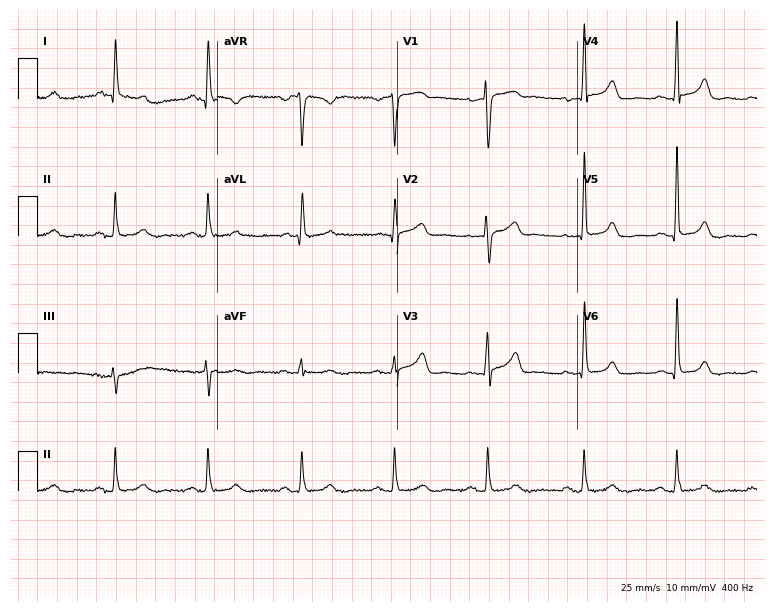
Standard 12-lead ECG recorded from a 63-year-old female (7.3-second recording at 400 Hz). None of these six findings is recorded: first-degree AV block, right bundle branch block, left bundle branch block, sinus bradycardia, atrial fibrillation, sinus tachycardia.